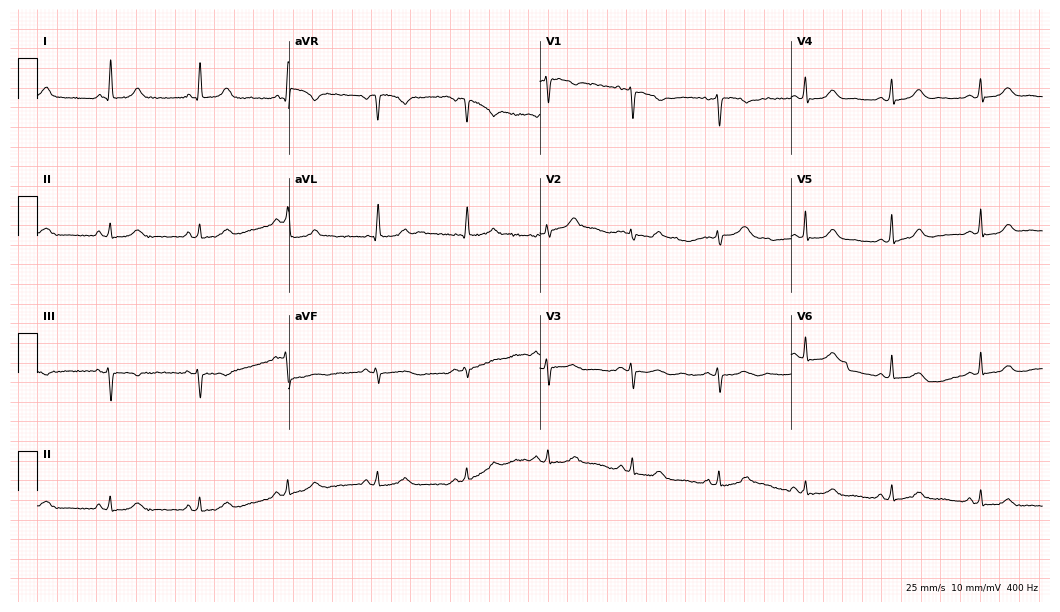
12-lead ECG (10.2-second recording at 400 Hz) from a female, 44 years old. Labelled as a normal ECG.